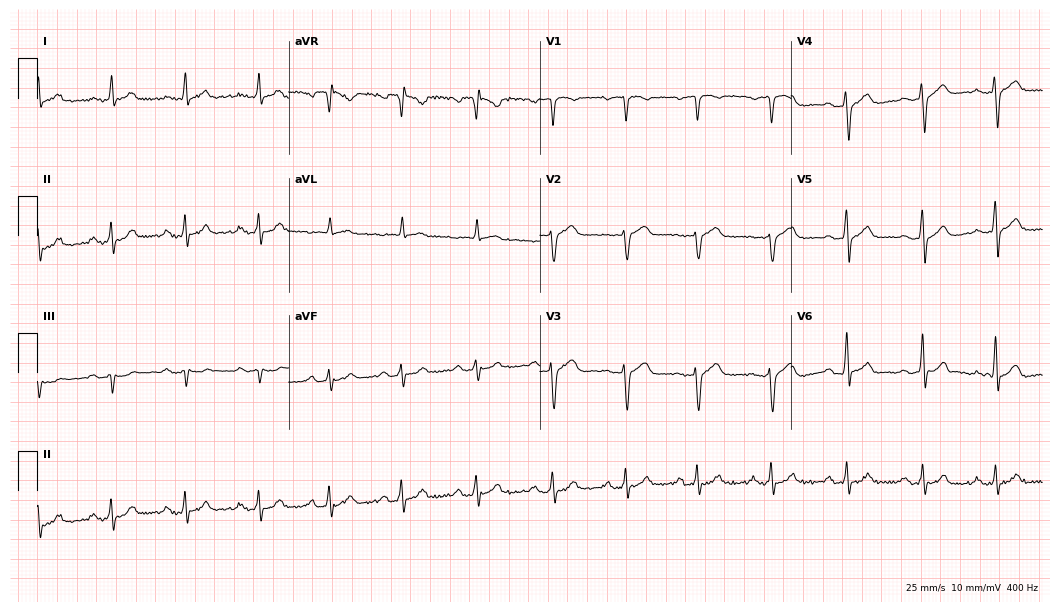
Resting 12-lead electrocardiogram. Patient: a male, 44 years old. Read as a normal ECG.